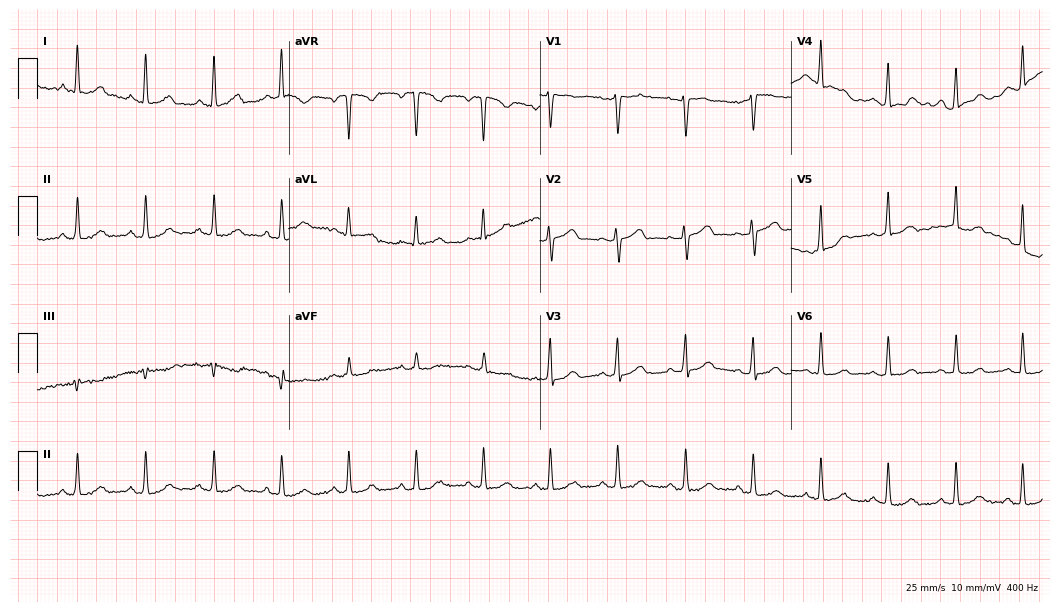
Standard 12-lead ECG recorded from a female patient, 50 years old. Read as a normal ECG.